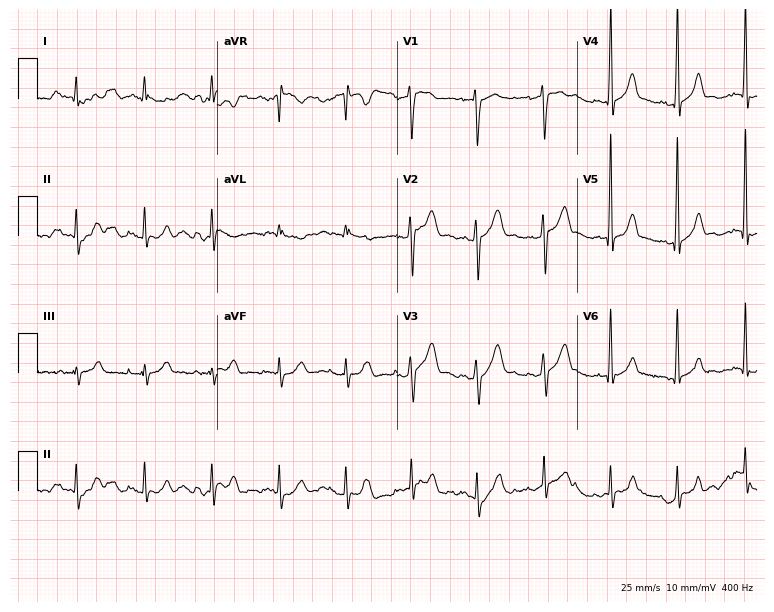
12-lead ECG from a 35-year-old male patient (7.3-second recording at 400 Hz). Recorded interpretation: within normal limits.